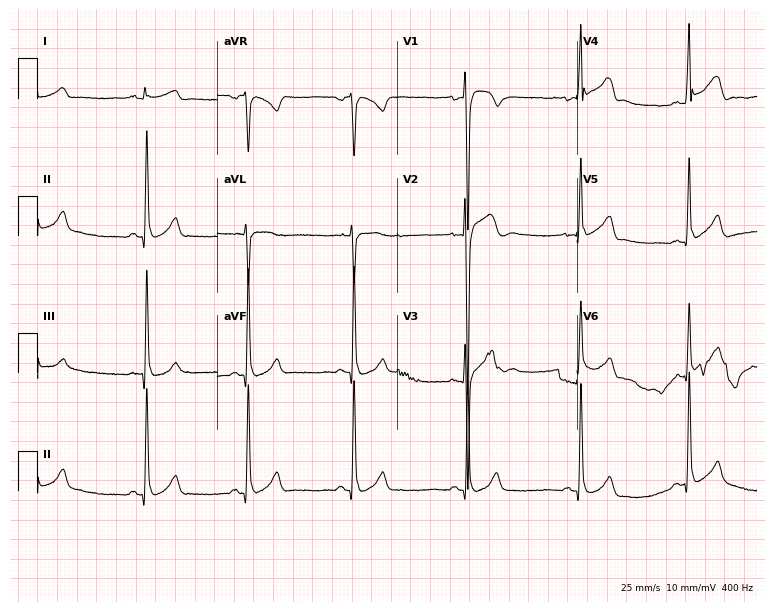
ECG (7.3-second recording at 400 Hz) — a 20-year-old male patient. Labelled as a normal ECG.